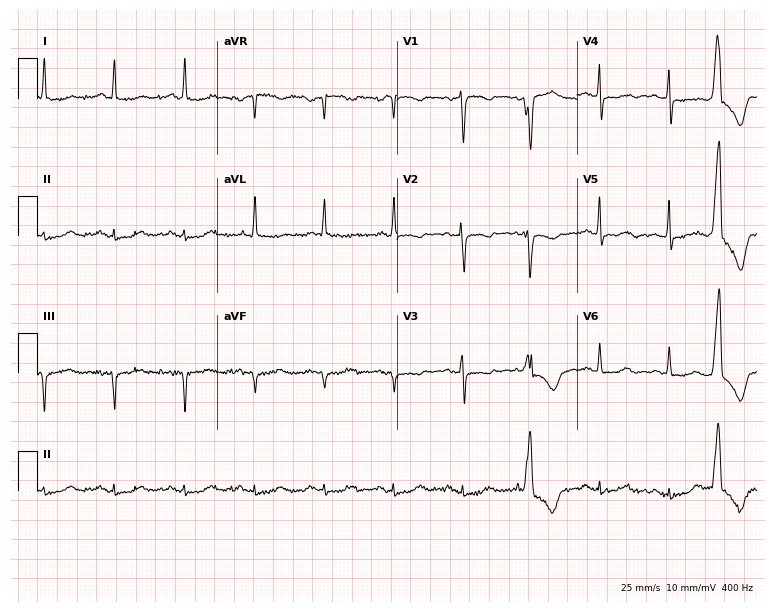
Standard 12-lead ECG recorded from a 77-year-old female patient (7.3-second recording at 400 Hz). None of these six findings is recorded: first-degree AV block, right bundle branch block, left bundle branch block, sinus bradycardia, atrial fibrillation, sinus tachycardia. Other findings, if any, are not listed.